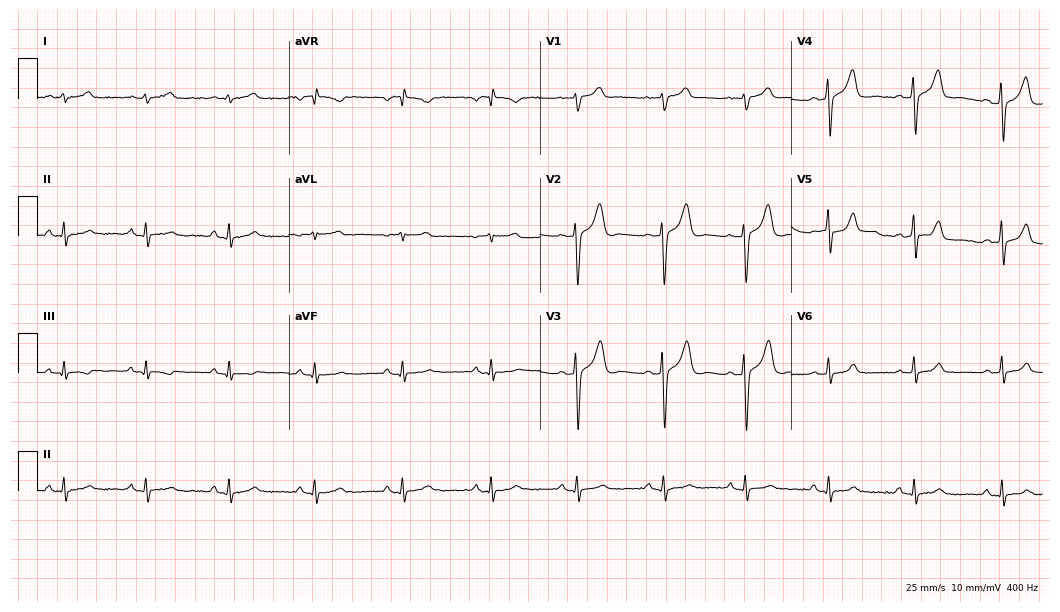
Standard 12-lead ECG recorded from a male, 53 years old (10.2-second recording at 400 Hz). None of these six findings is recorded: first-degree AV block, right bundle branch block, left bundle branch block, sinus bradycardia, atrial fibrillation, sinus tachycardia.